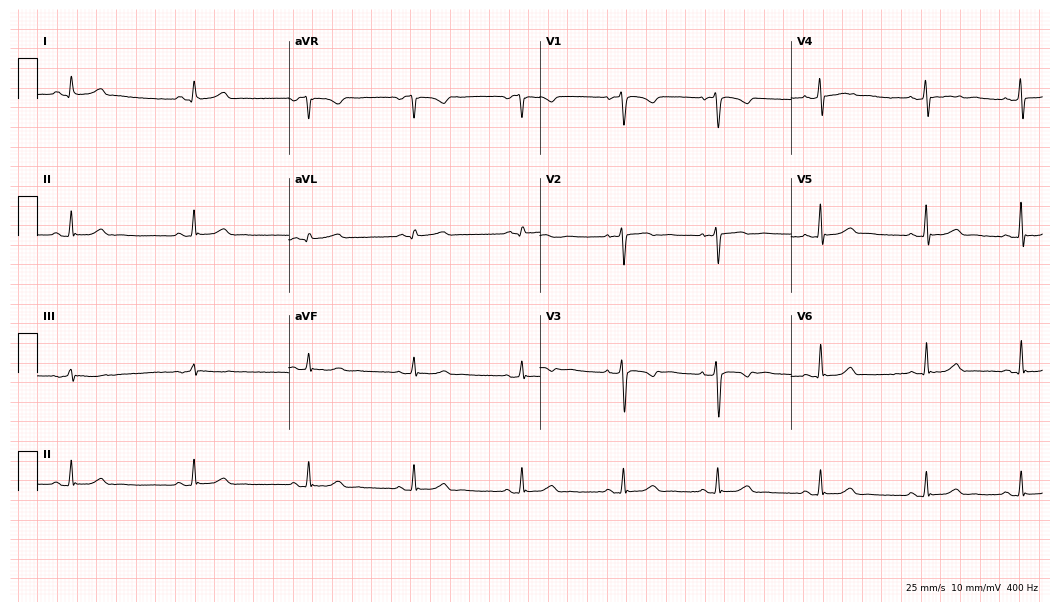
ECG — a 32-year-old woman. Labelled as a normal ECG.